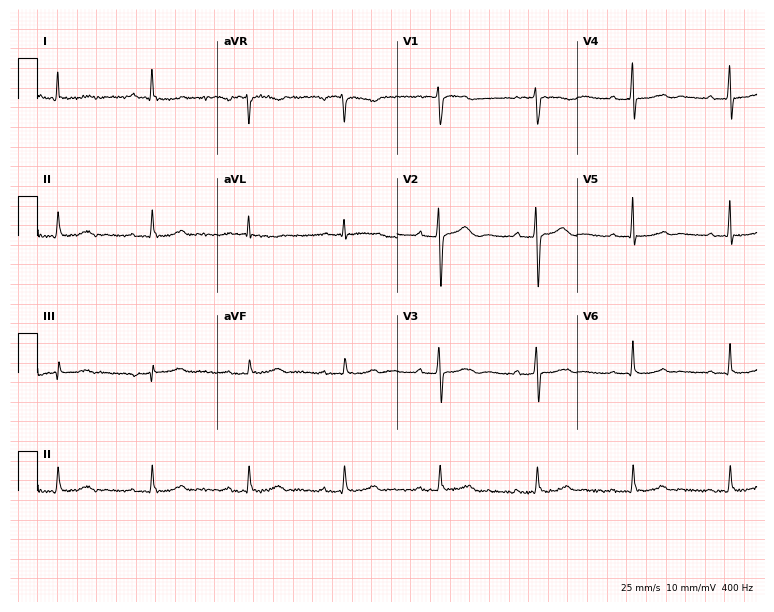
Resting 12-lead electrocardiogram. Patient: a woman, 67 years old. The tracing shows first-degree AV block.